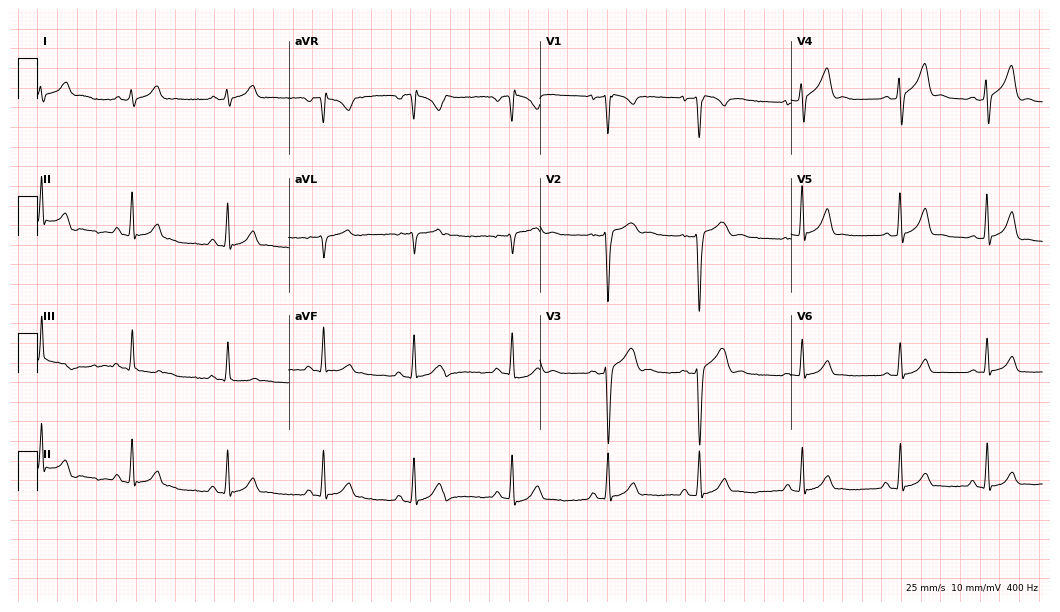
12-lead ECG from a male patient, 22 years old (10.2-second recording at 400 Hz). Recorded interpretation: within normal limits.